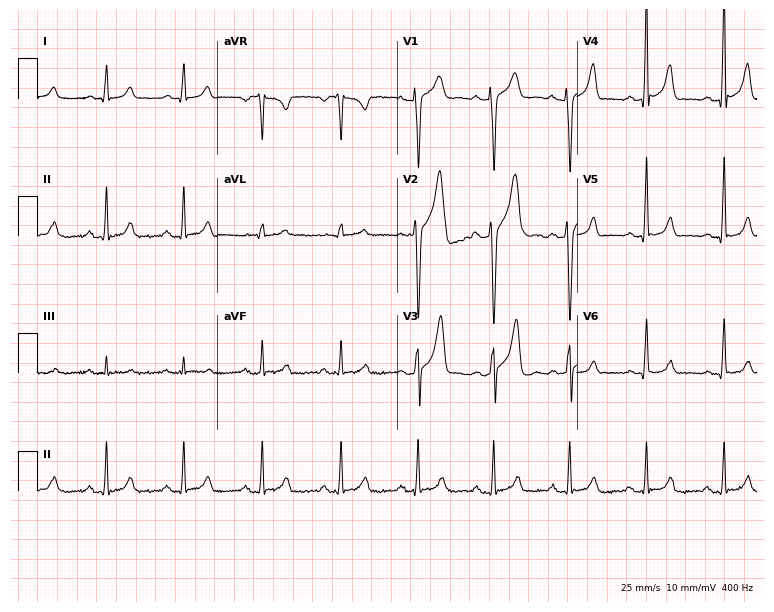
Resting 12-lead electrocardiogram. Patient: a 34-year-old man. Read as a normal ECG.